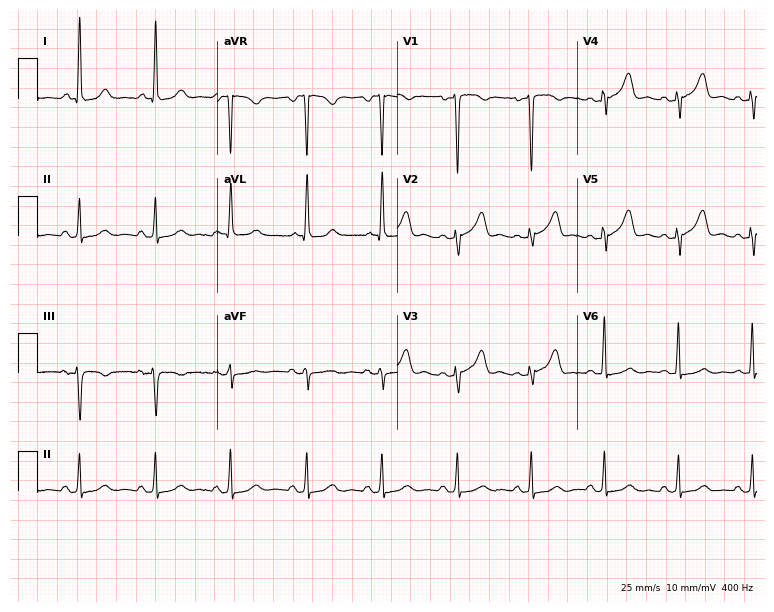
ECG (7.3-second recording at 400 Hz) — a female patient, 45 years old. Labelled as a normal ECG.